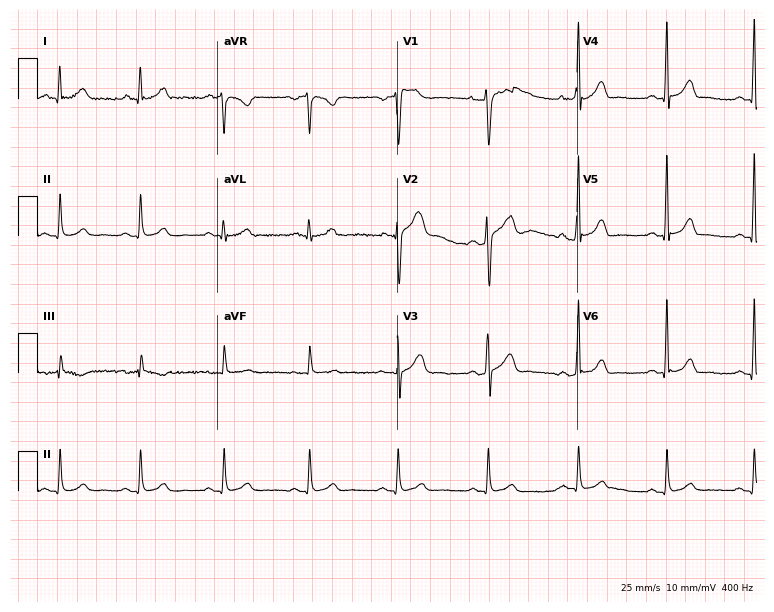
12-lead ECG from a man, 29 years old (7.3-second recording at 400 Hz). Recorded interpretation: within normal limits.